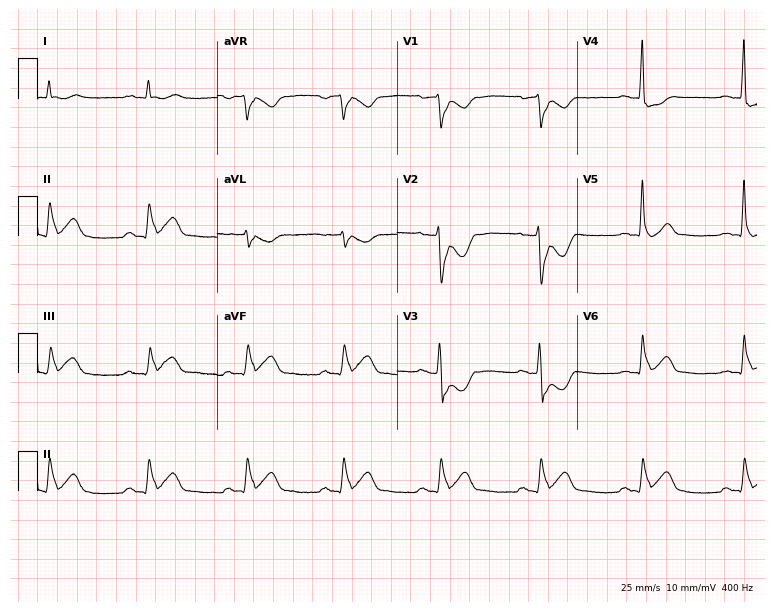
12-lead ECG (7.3-second recording at 400 Hz) from a 64-year-old male patient. Screened for six findings — first-degree AV block, right bundle branch block, left bundle branch block, sinus bradycardia, atrial fibrillation, sinus tachycardia — none is recorded.